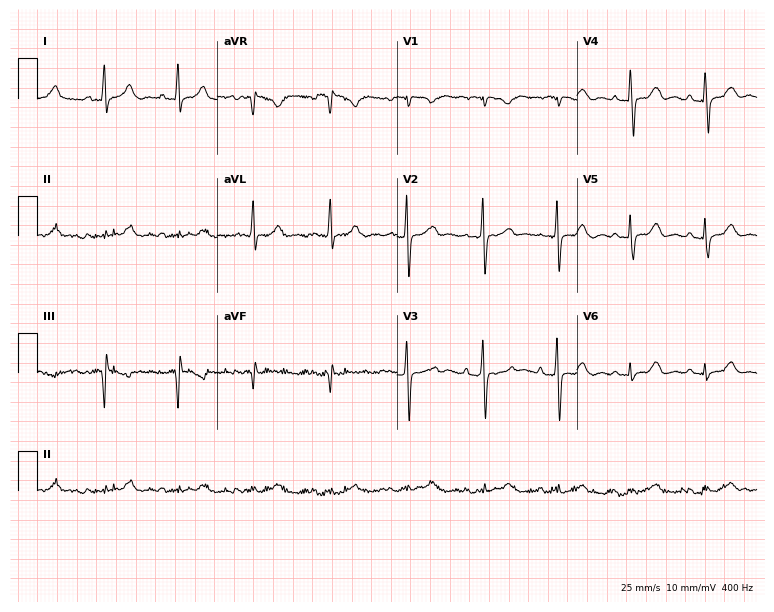
12-lead ECG from a 76-year-old man (7.3-second recording at 400 Hz). No first-degree AV block, right bundle branch block, left bundle branch block, sinus bradycardia, atrial fibrillation or sinus tachycardia recorded for this tracing. Other findings, if any, are not listed.